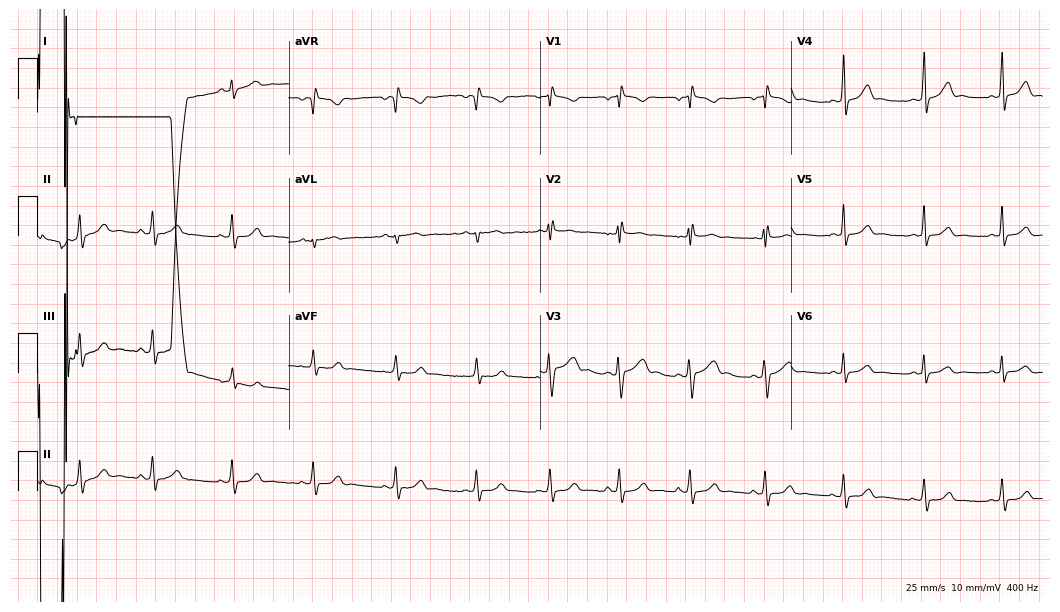
ECG (10.2-second recording at 400 Hz) — a woman, 22 years old. Labelled as a normal ECG.